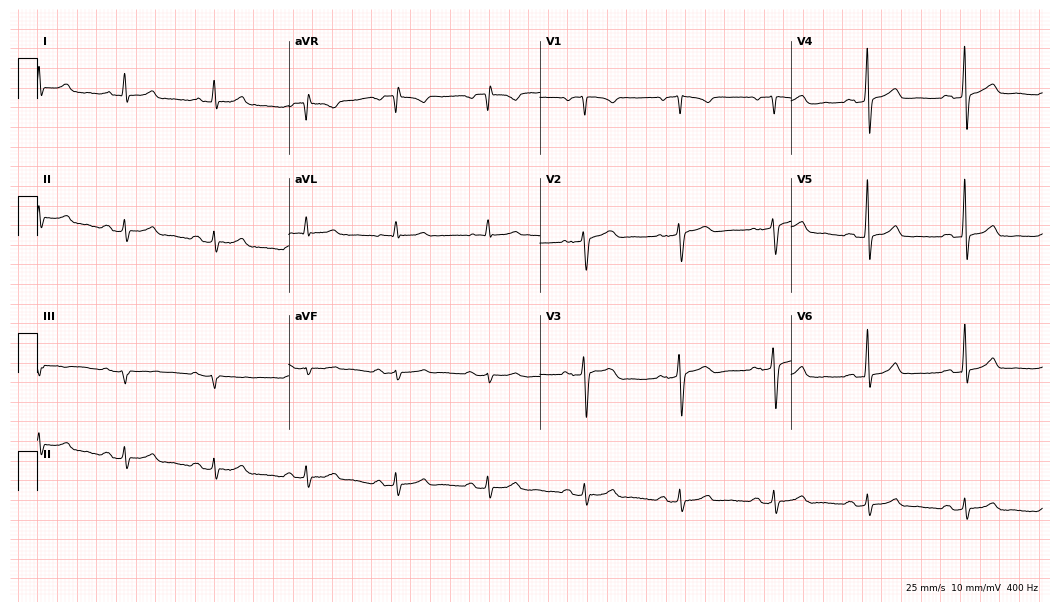
ECG (10.2-second recording at 400 Hz) — a man, 69 years old. Labelled as a normal ECG.